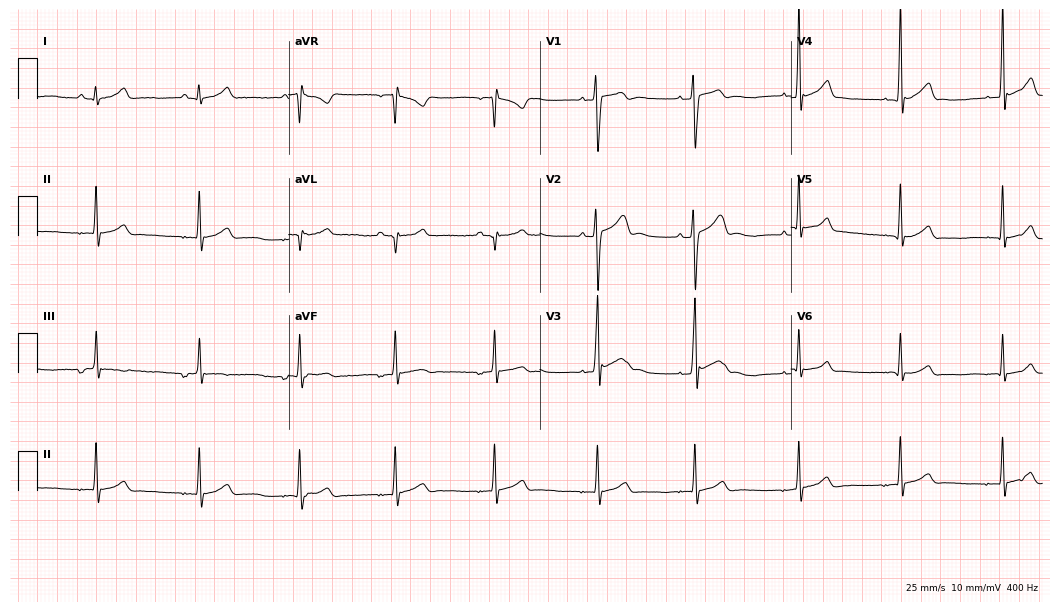
Electrocardiogram, a male patient, 17 years old. Of the six screened findings (first-degree AV block, right bundle branch block (RBBB), left bundle branch block (LBBB), sinus bradycardia, atrial fibrillation (AF), sinus tachycardia), none is recorded. Findings outside these six are not listed.